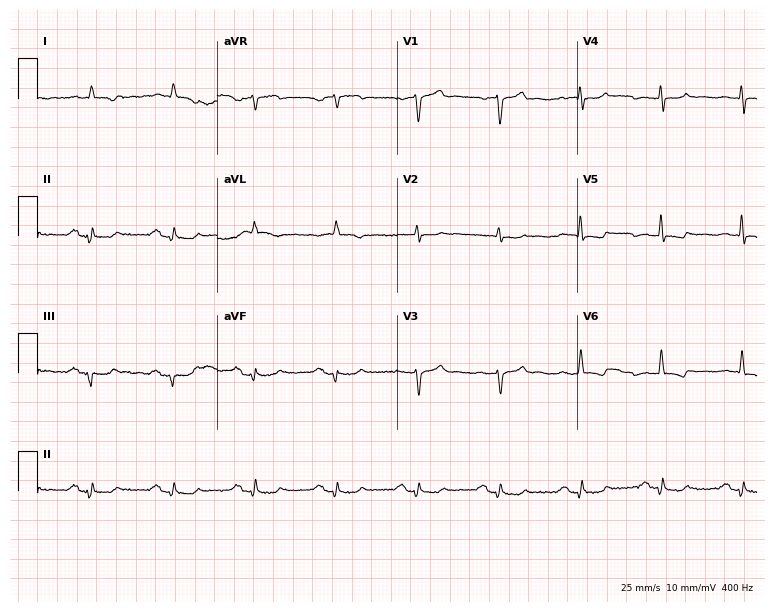
12-lead ECG from a 75-year-old male. Screened for six findings — first-degree AV block, right bundle branch block (RBBB), left bundle branch block (LBBB), sinus bradycardia, atrial fibrillation (AF), sinus tachycardia — none is recorded.